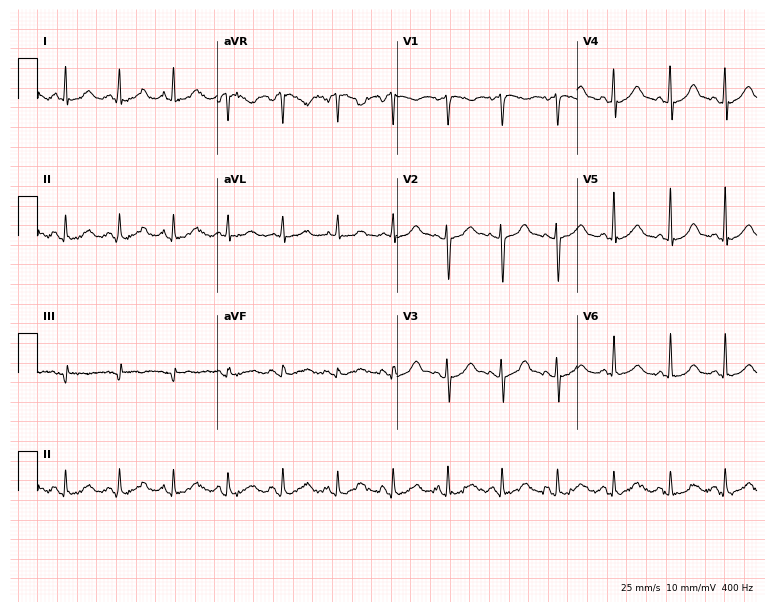
12-lead ECG from a female patient, 41 years old. Shows sinus tachycardia (a sinus rate of 100 beats per minute or more).